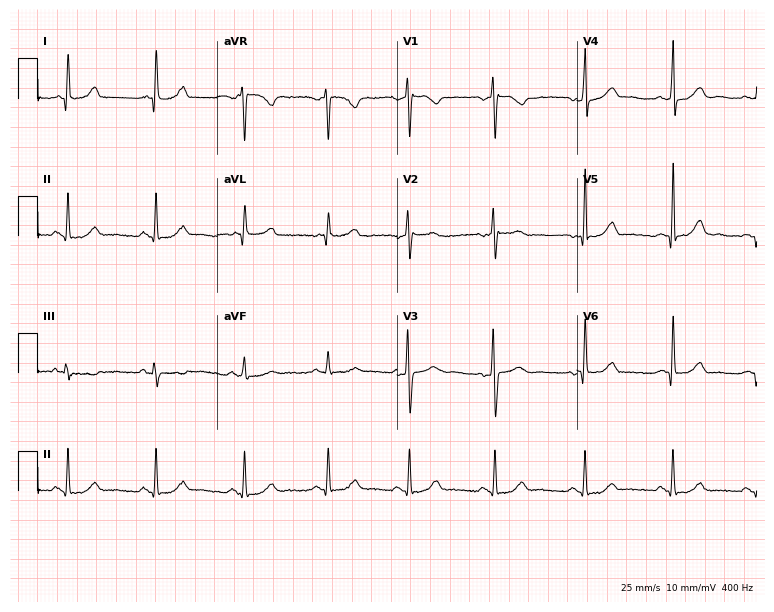
Standard 12-lead ECG recorded from a female patient, 55 years old. Read as a normal ECG.